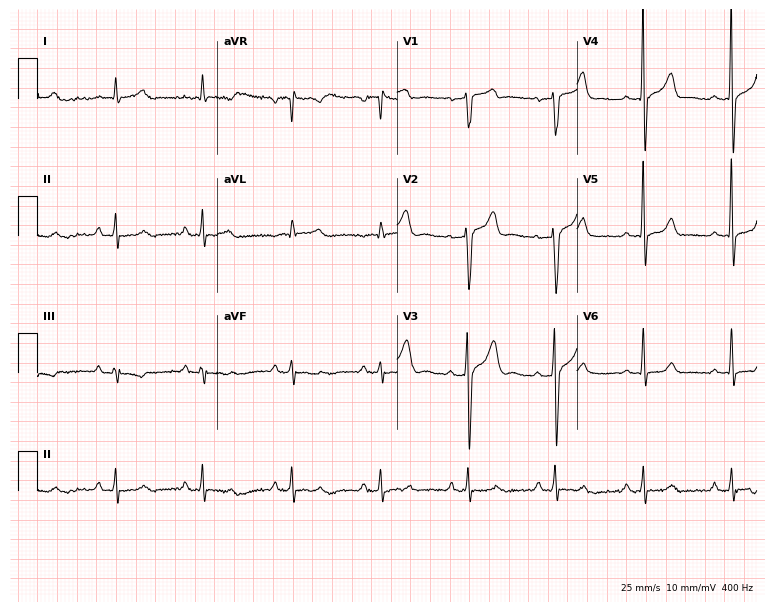
12-lead ECG from a male patient, 58 years old. Recorded interpretation: within normal limits.